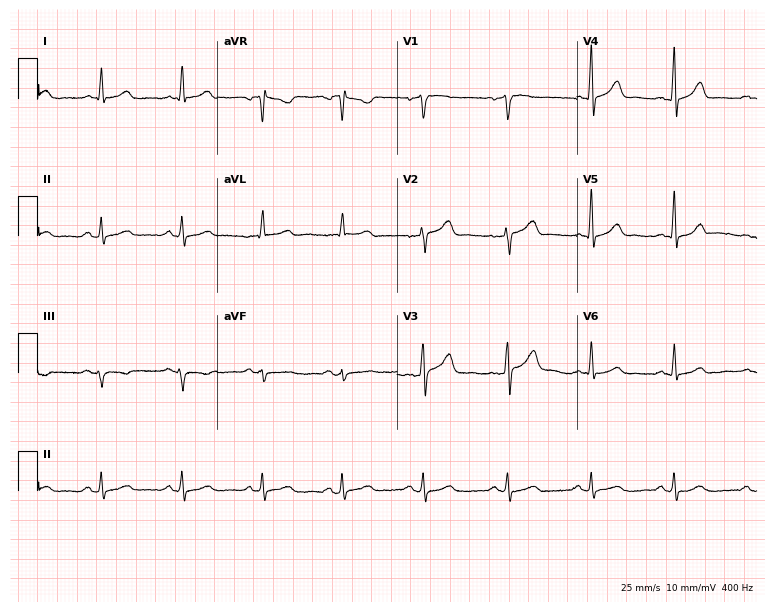
12-lead ECG from a 53-year-old man (7.3-second recording at 400 Hz). Recorded interpretation: within normal limits.